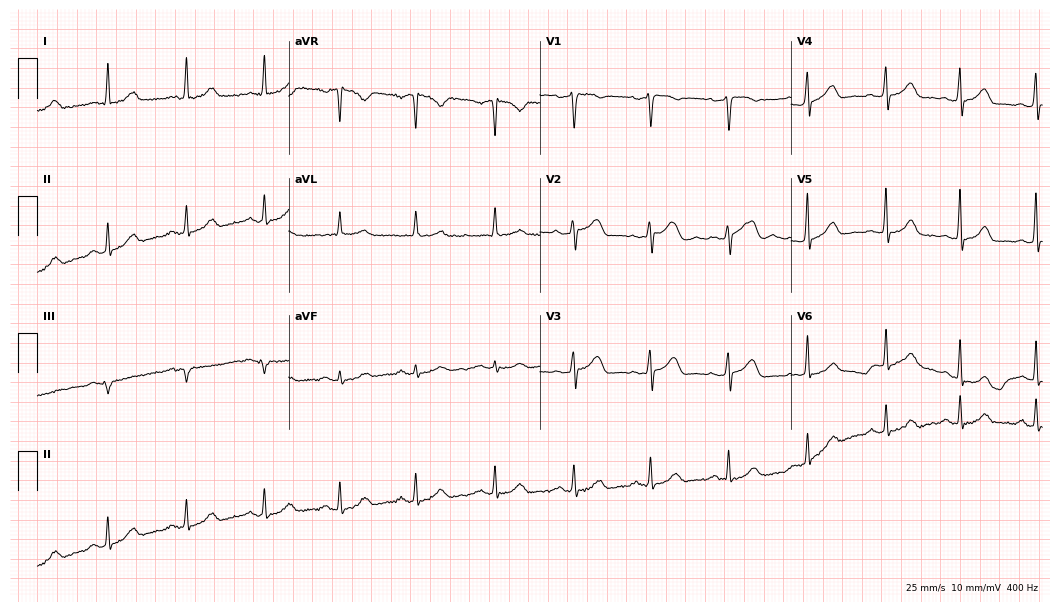
12-lead ECG (10.2-second recording at 400 Hz) from a 59-year-old female patient. Labelled as a normal ECG.